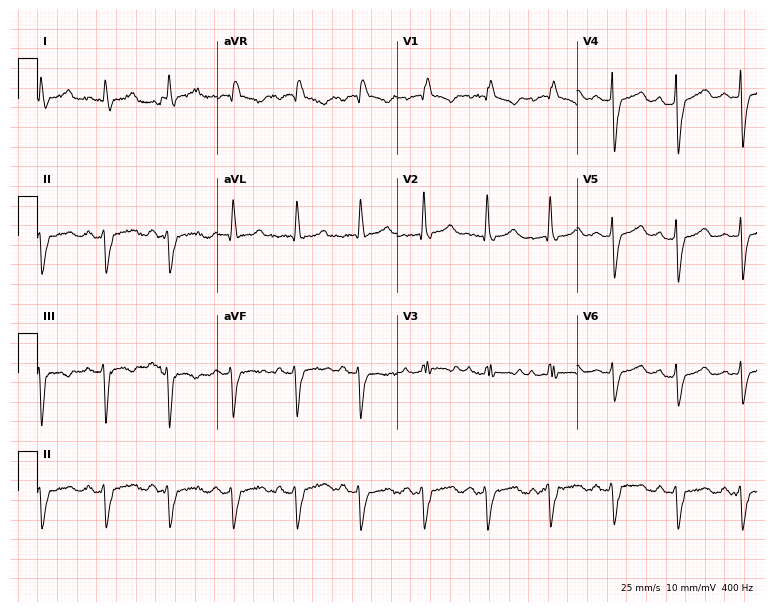
12-lead ECG from a female, 43 years old. Screened for six findings — first-degree AV block, right bundle branch block, left bundle branch block, sinus bradycardia, atrial fibrillation, sinus tachycardia — none is recorded.